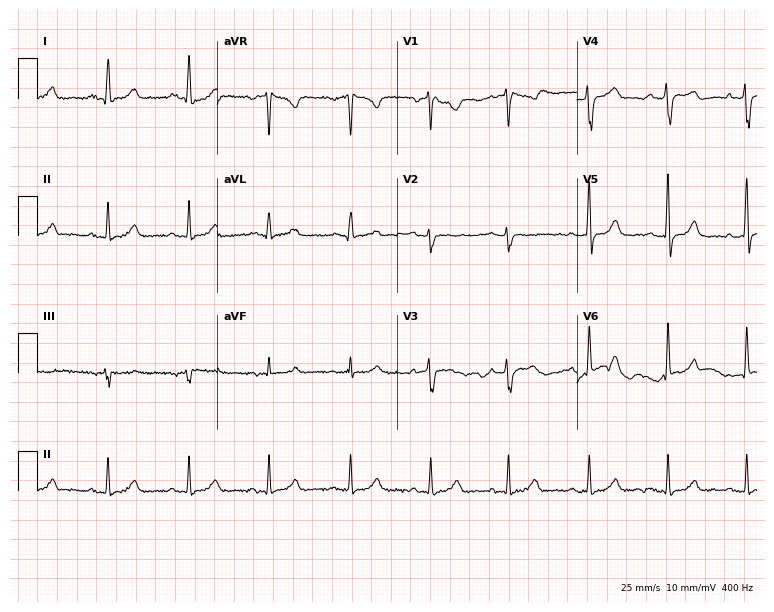
Resting 12-lead electrocardiogram. Patient: a 28-year-old woman. Read as a normal ECG.